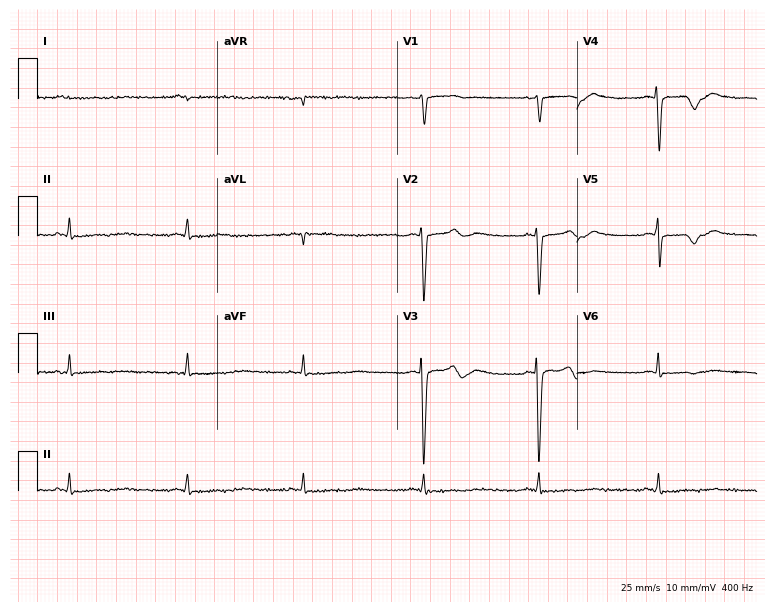
12-lead ECG from a woman, 45 years old. Screened for six findings — first-degree AV block, right bundle branch block (RBBB), left bundle branch block (LBBB), sinus bradycardia, atrial fibrillation (AF), sinus tachycardia — none is recorded.